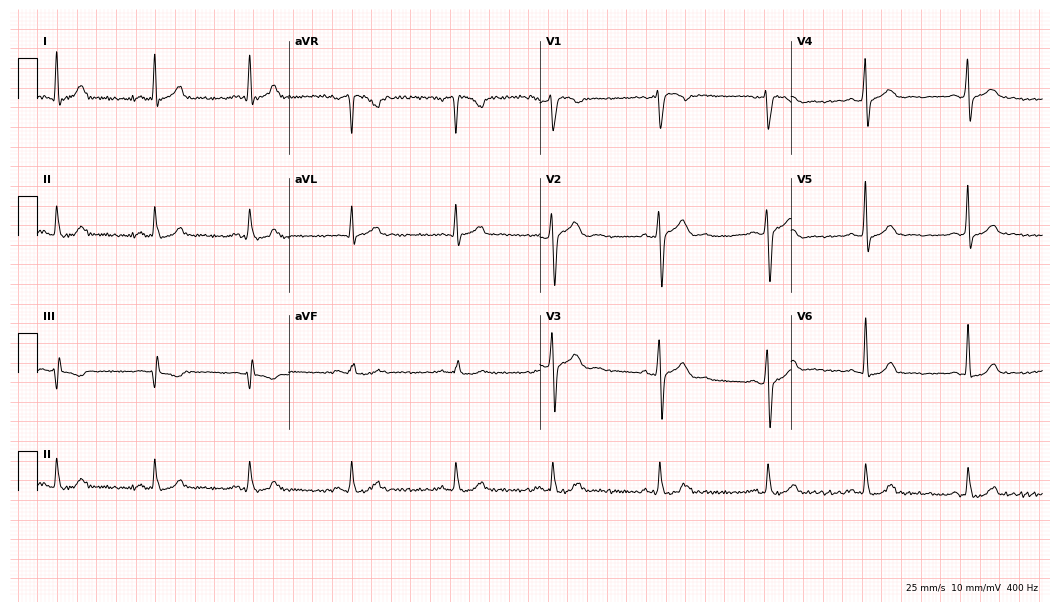
12-lead ECG from a 39-year-old male patient. No first-degree AV block, right bundle branch block, left bundle branch block, sinus bradycardia, atrial fibrillation or sinus tachycardia recorded for this tracing. Other findings, if any, are not listed.